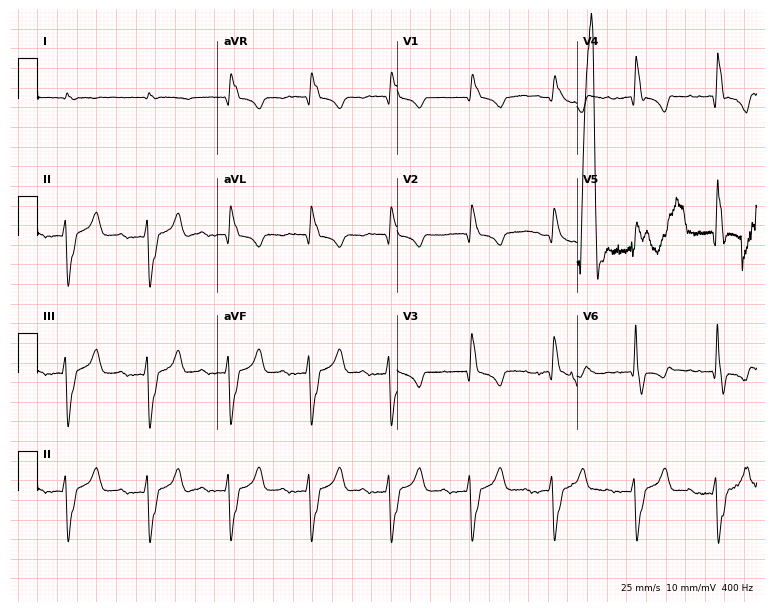
Standard 12-lead ECG recorded from a woman, 87 years old (7.3-second recording at 400 Hz). The tracing shows first-degree AV block, right bundle branch block (RBBB).